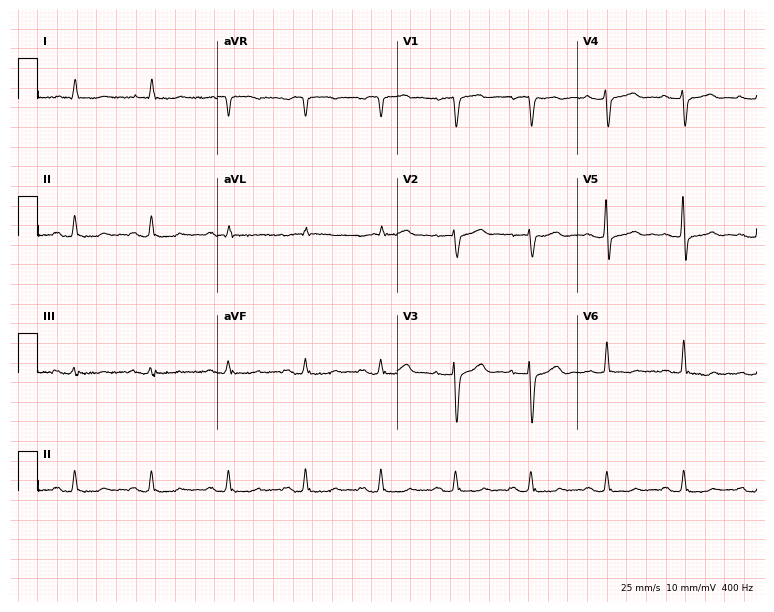
Standard 12-lead ECG recorded from a male, 84 years old (7.3-second recording at 400 Hz). None of these six findings is recorded: first-degree AV block, right bundle branch block (RBBB), left bundle branch block (LBBB), sinus bradycardia, atrial fibrillation (AF), sinus tachycardia. Findings outside these six are not listed.